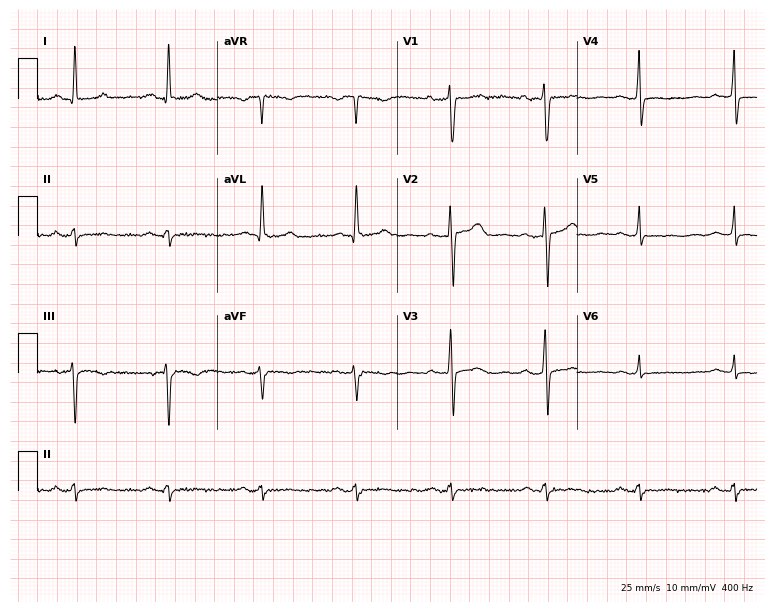
ECG (7.3-second recording at 400 Hz) — a male, 53 years old. Labelled as a normal ECG.